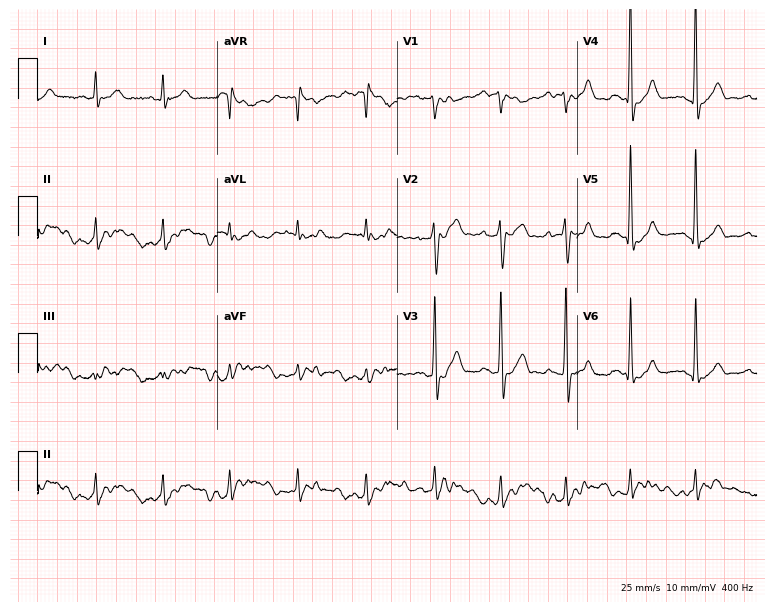
Resting 12-lead electrocardiogram. Patient: a male, 44 years old. None of these six findings is recorded: first-degree AV block, right bundle branch block, left bundle branch block, sinus bradycardia, atrial fibrillation, sinus tachycardia.